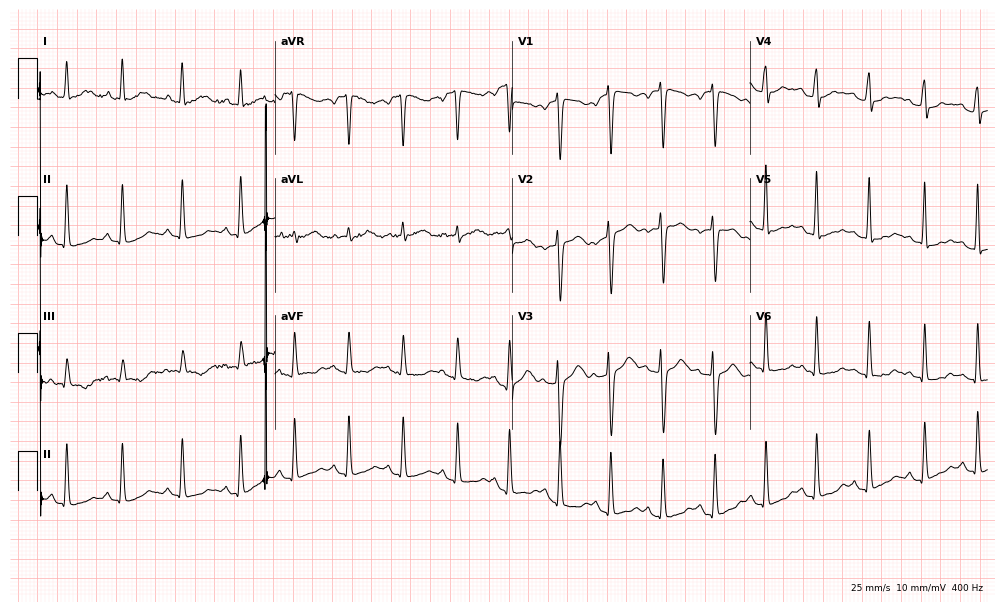
12-lead ECG from a 24-year-old female patient. No first-degree AV block, right bundle branch block (RBBB), left bundle branch block (LBBB), sinus bradycardia, atrial fibrillation (AF) or sinus tachycardia recorded for this tracing. Findings outside these six are not listed.